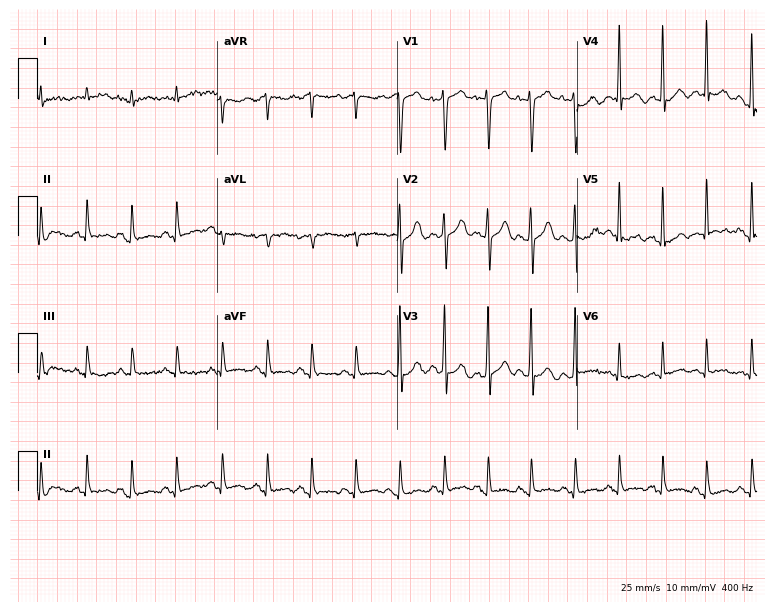
ECG — a 35-year-old man. Findings include sinus tachycardia (a sinus rate of 100 beats per minute or more).